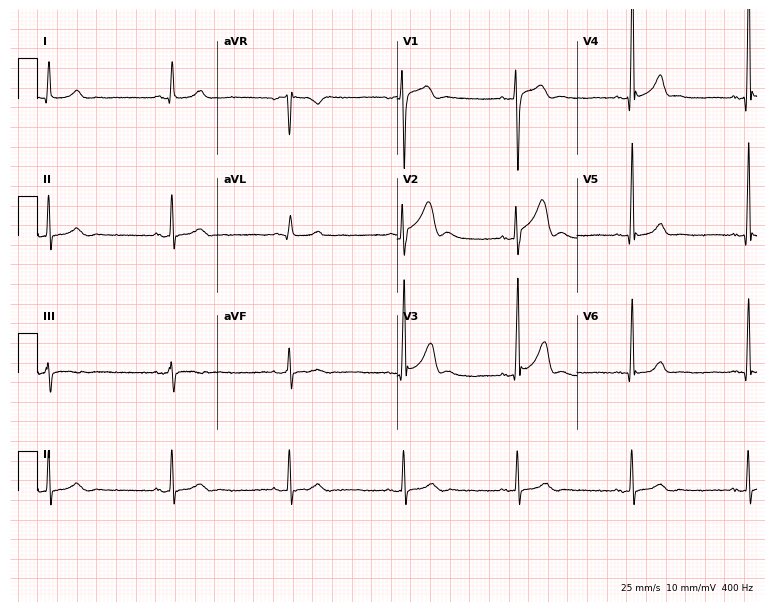
Electrocardiogram (7.3-second recording at 400 Hz), a 23-year-old male. Overall reading on record: normal ECG.